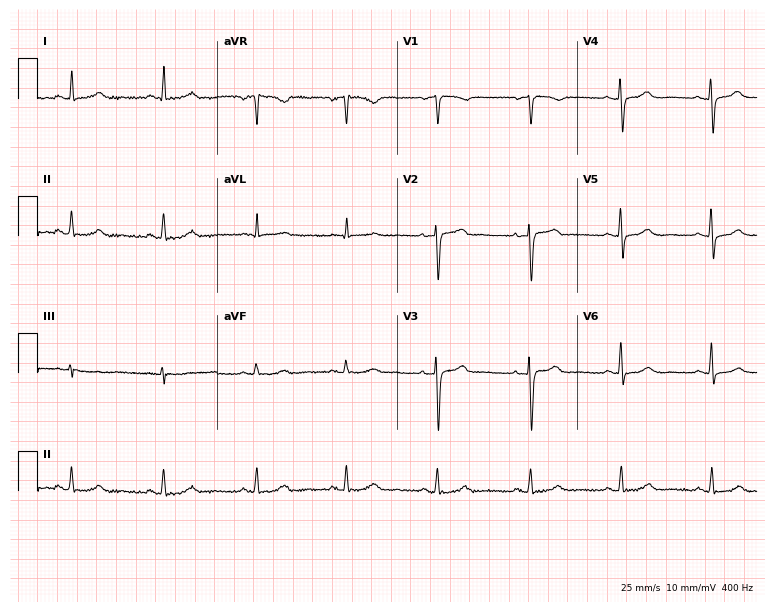
Electrocardiogram, a female patient, 51 years old. Overall reading on record: normal ECG.